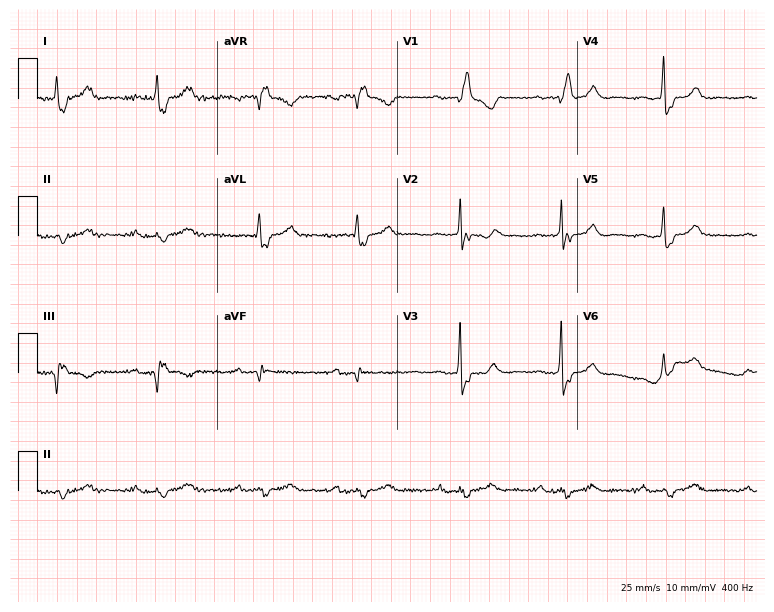
12-lead ECG from a female, 70 years old (7.3-second recording at 400 Hz). Shows first-degree AV block, right bundle branch block (RBBB).